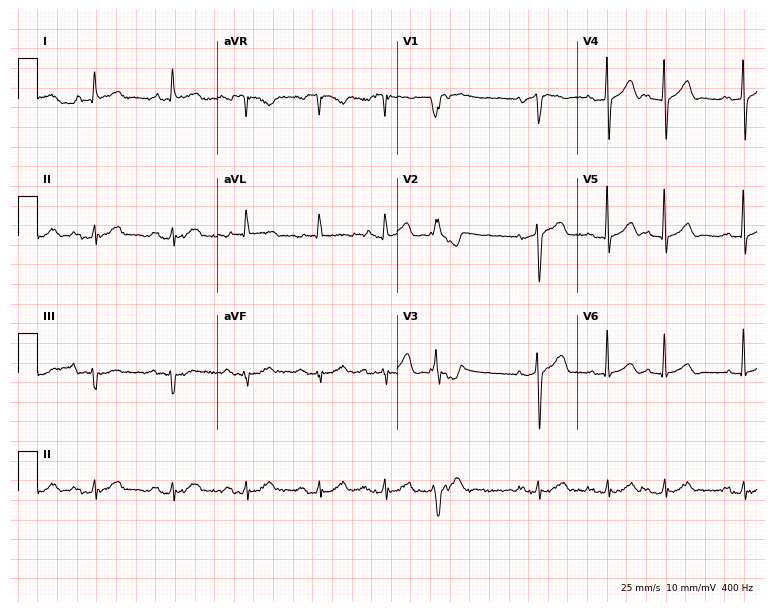
Electrocardiogram, a male, 79 years old. Of the six screened findings (first-degree AV block, right bundle branch block (RBBB), left bundle branch block (LBBB), sinus bradycardia, atrial fibrillation (AF), sinus tachycardia), none is recorded.